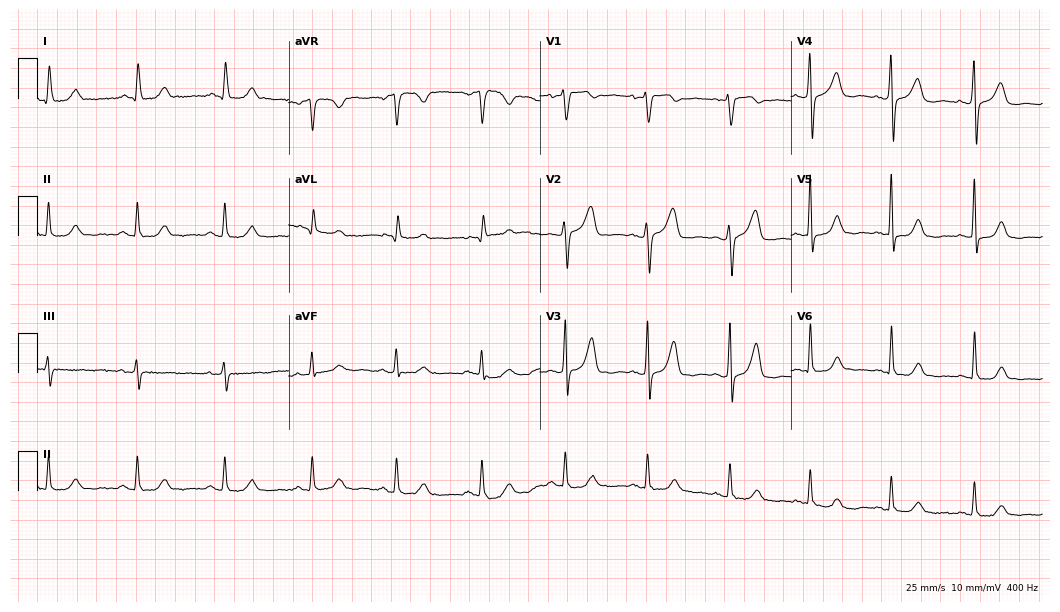
Resting 12-lead electrocardiogram (10.2-second recording at 400 Hz). Patient: a female, 61 years old. None of these six findings is recorded: first-degree AV block, right bundle branch block, left bundle branch block, sinus bradycardia, atrial fibrillation, sinus tachycardia. Other findings, if any, are not listed.